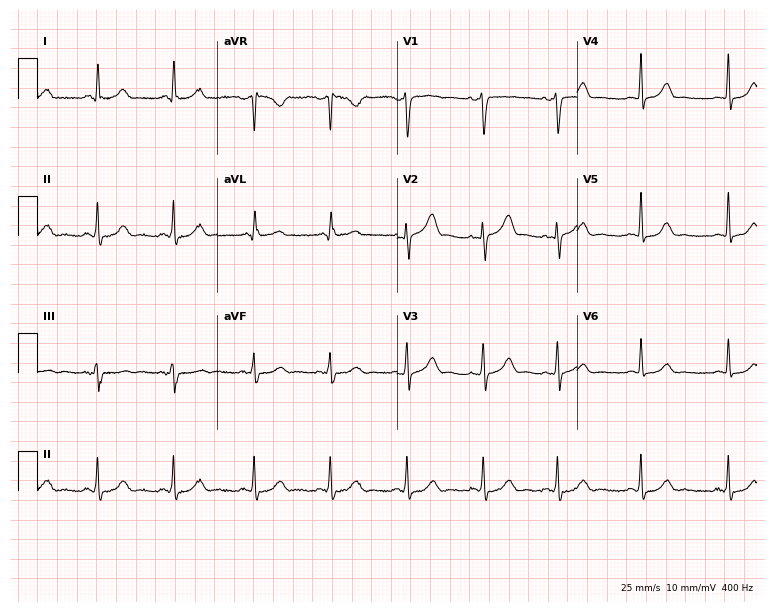
Electrocardiogram (7.3-second recording at 400 Hz), a 29-year-old female patient. Overall reading on record: normal ECG.